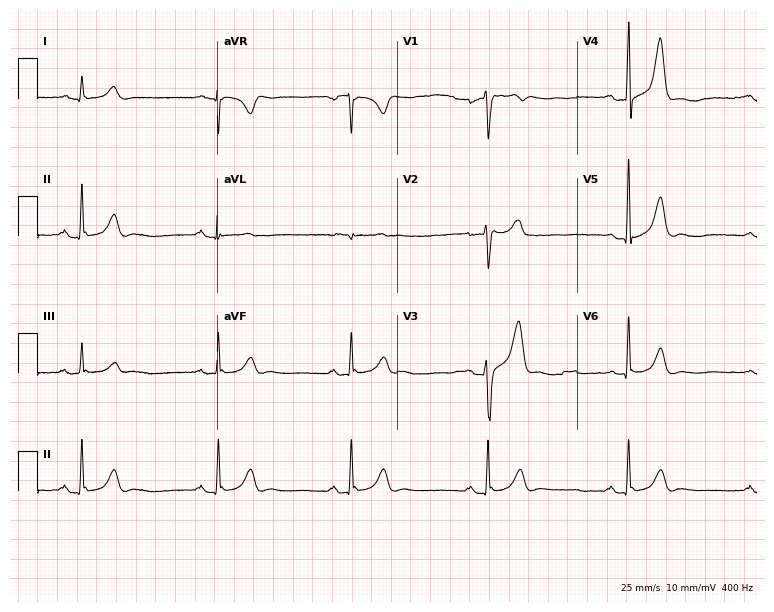
Resting 12-lead electrocardiogram. Patient: a man, 36 years old. The tracing shows sinus bradycardia (a sinus rate of 50 beats per minute or less).